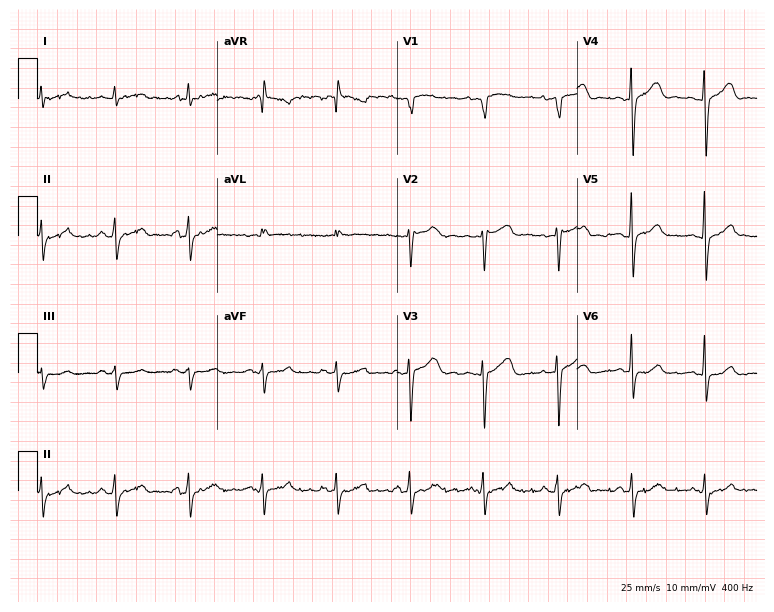
Standard 12-lead ECG recorded from a 46-year-old female patient. Read as a normal ECG.